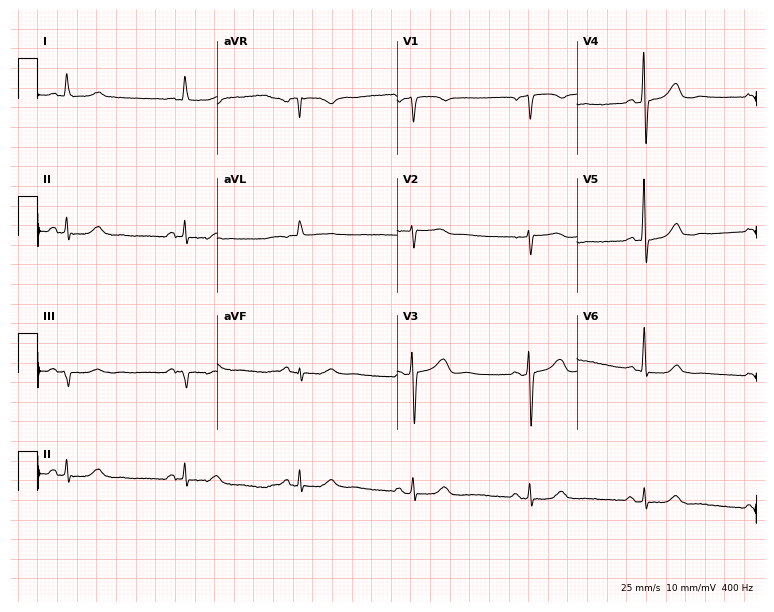
Electrocardiogram, a 71-year-old male. Interpretation includes sinus bradycardia (a sinus rate of 50 beats per minute or less).